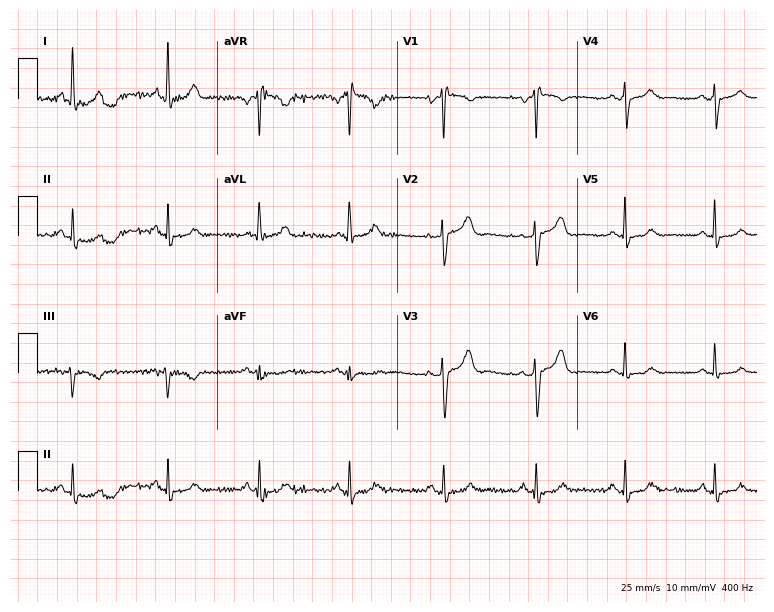
12-lead ECG (7.3-second recording at 400 Hz) from a 67-year-old female patient. Screened for six findings — first-degree AV block, right bundle branch block, left bundle branch block, sinus bradycardia, atrial fibrillation, sinus tachycardia — none is recorded. Other findings, if any, are not listed.